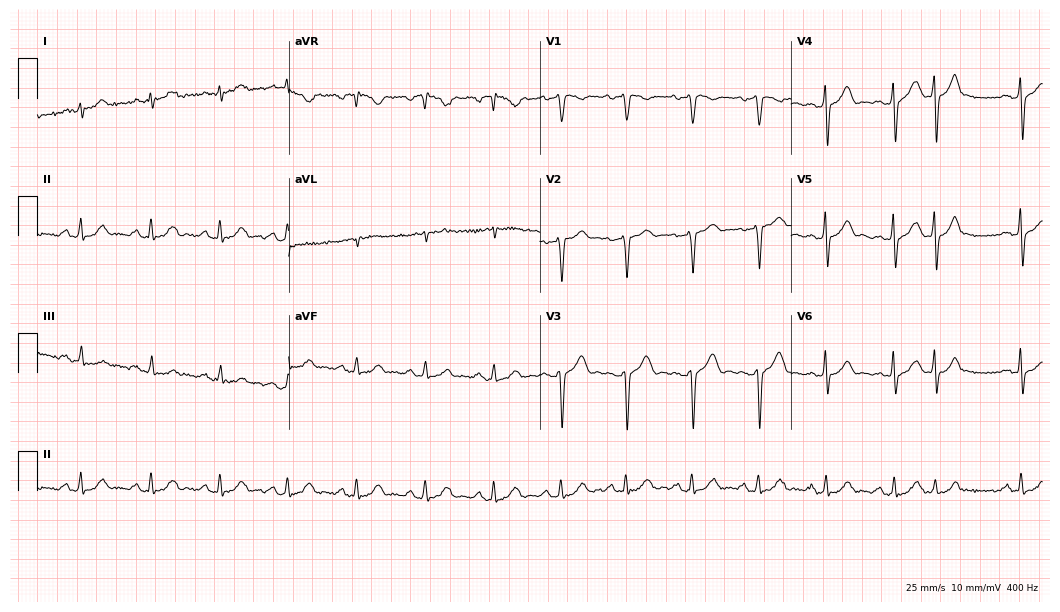
12-lead ECG (10.2-second recording at 400 Hz) from a male patient, 56 years old. Screened for six findings — first-degree AV block, right bundle branch block (RBBB), left bundle branch block (LBBB), sinus bradycardia, atrial fibrillation (AF), sinus tachycardia — none is recorded. Other findings, if any, are not listed.